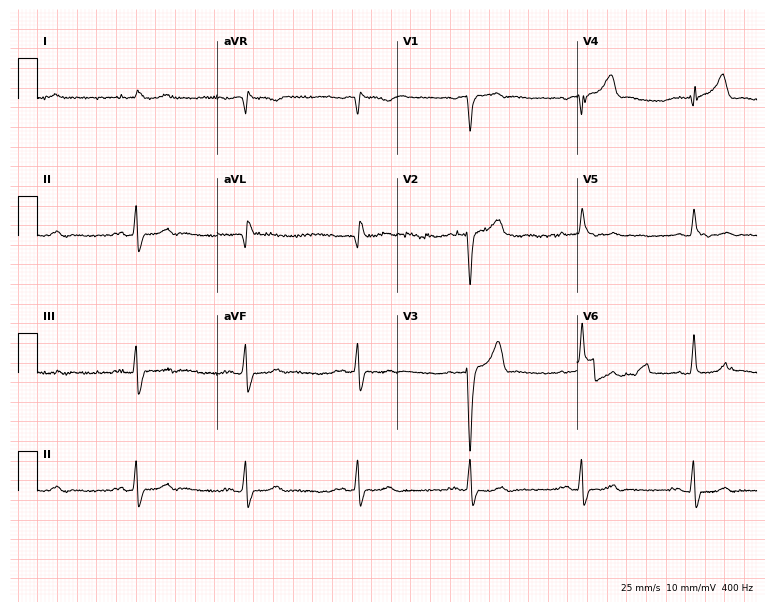
Resting 12-lead electrocardiogram. Patient: a 64-year-old male. The tracing shows left bundle branch block.